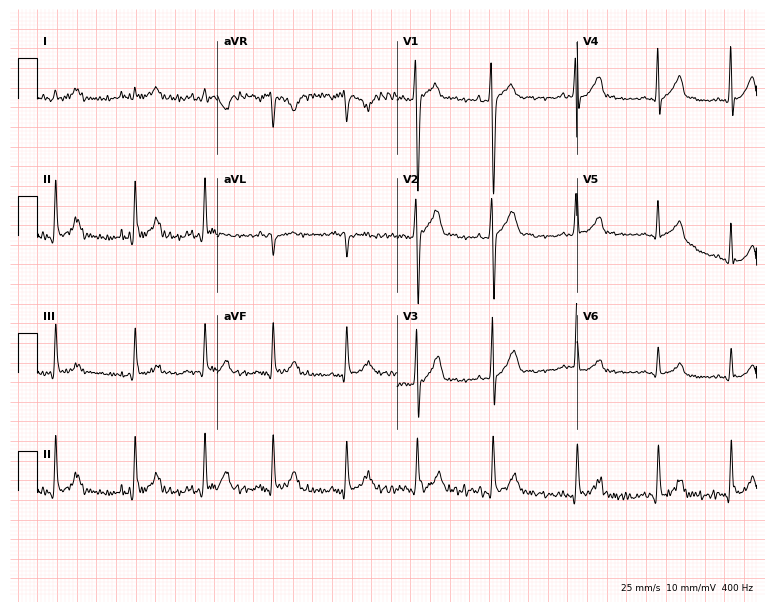
ECG — an 18-year-old male patient. Screened for six findings — first-degree AV block, right bundle branch block, left bundle branch block, sinus bradycardia, atrial fibrillation, sinus tachycardia — none is recorded.